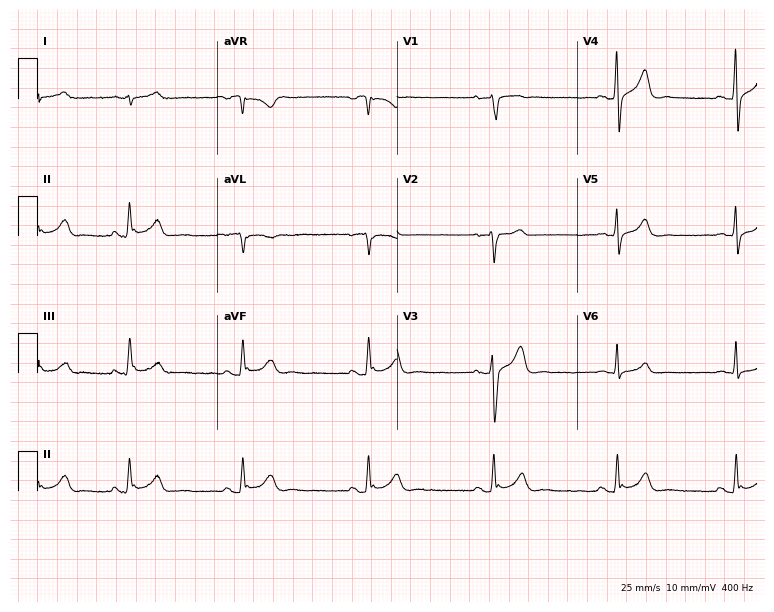
Resting 12-lead electrocardiogram. Patient: a 28-year-old male. Read as a normal ECG.